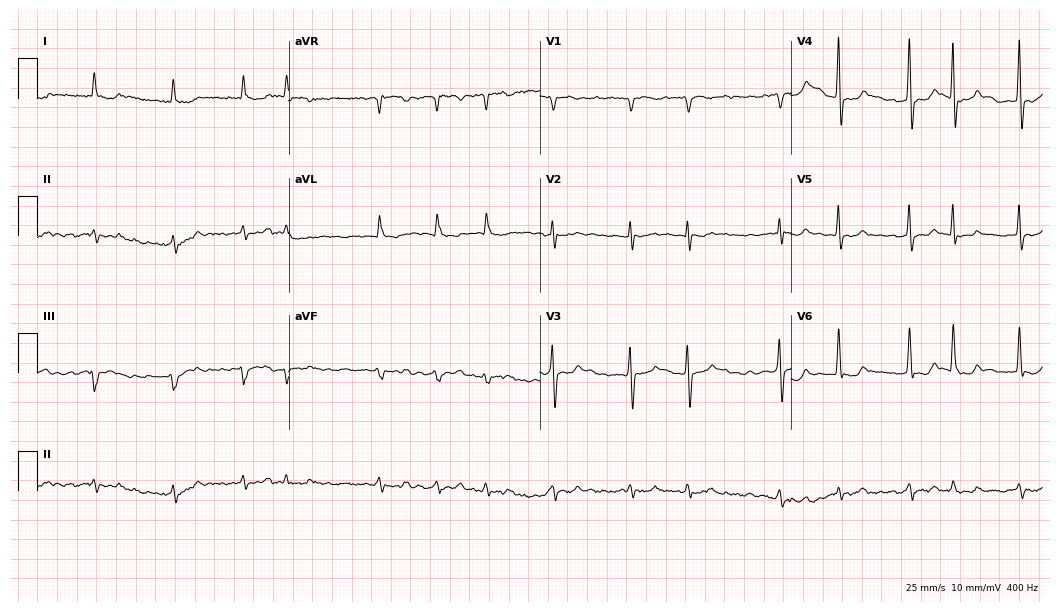
Electrocardiogram (10.2-second recording at 400 Hz), a 74-year-old man. Interpretation includes atrial fibrillation (AF).